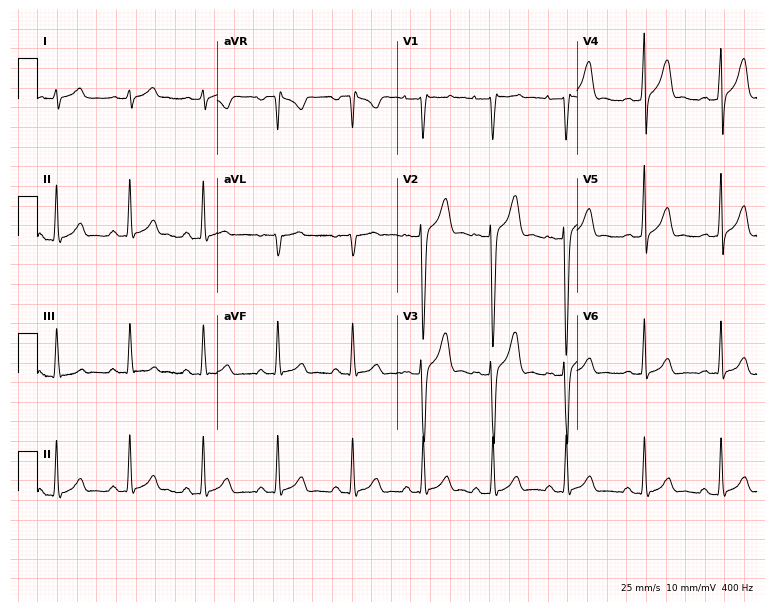
ECG (7.3-second recording at 400 Hz) — a man, 21 years old. Labelled as a normal ECG.